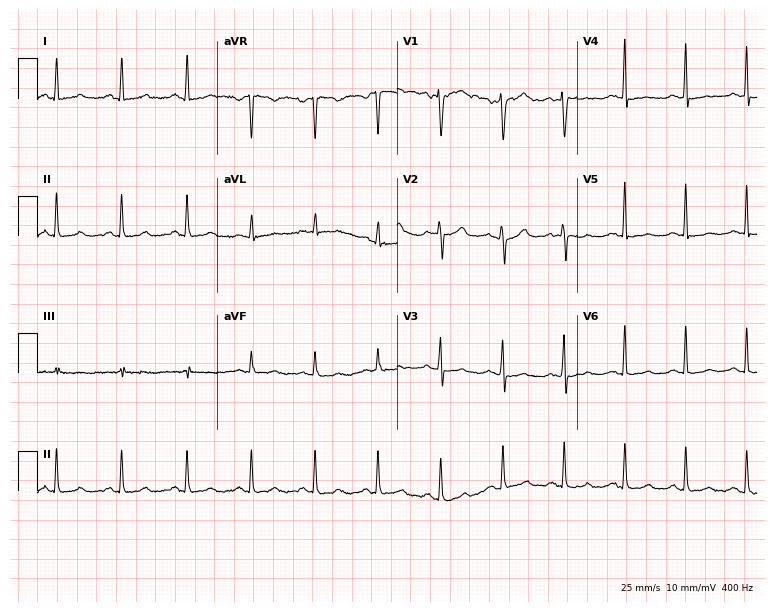
Resting 12-lead electrocardiogram. Patient: a 34-year-old female. Read as a normal ECG.